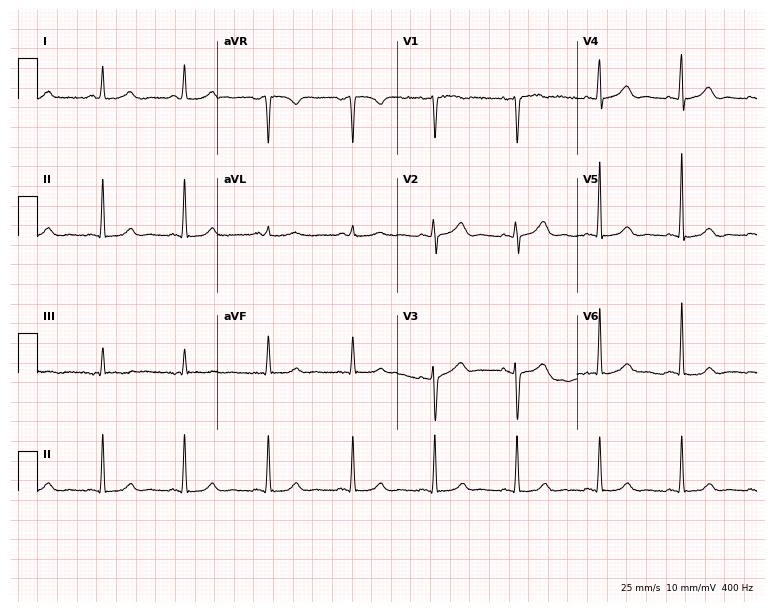
Standard 12-lead ECG recorded from a 49-year-old female (7.3-second recording at 400 Hz). Read as a normal ECG.